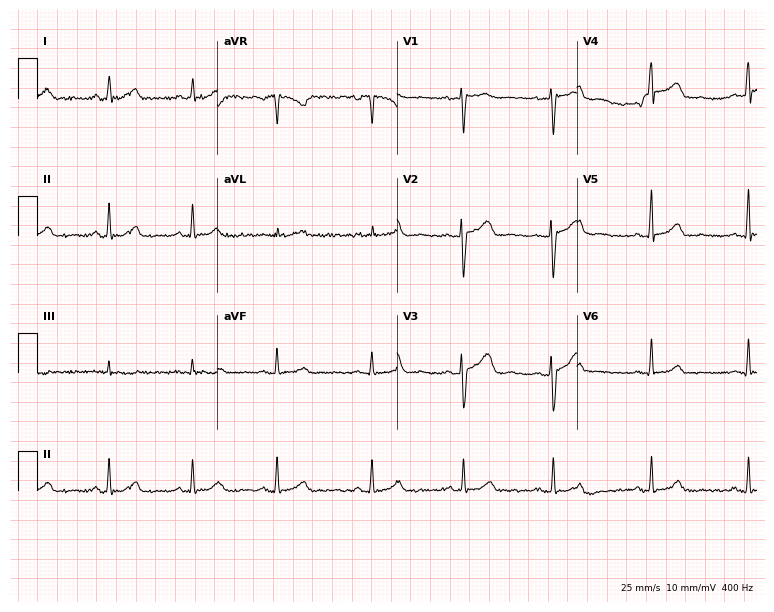
Resting 12-lead electrocardiogram (7.3-second recording at 400 Hz). Patient: a 30-year-old woman. Read as a normal ECG.